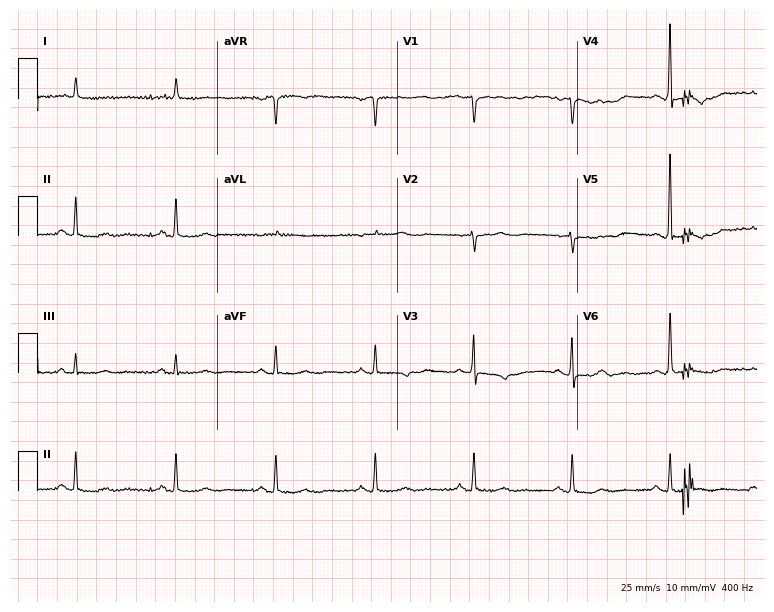
Standard 12-lead ECG recorded from an 81-year-old female patient (7.3-second recording at 400 Hz). None of these six findings is recorded: first-degree AV block, right bundle branch block, left bundle branch block, sinus bradycardia, atrial fibrillation, sinus tachycardia.